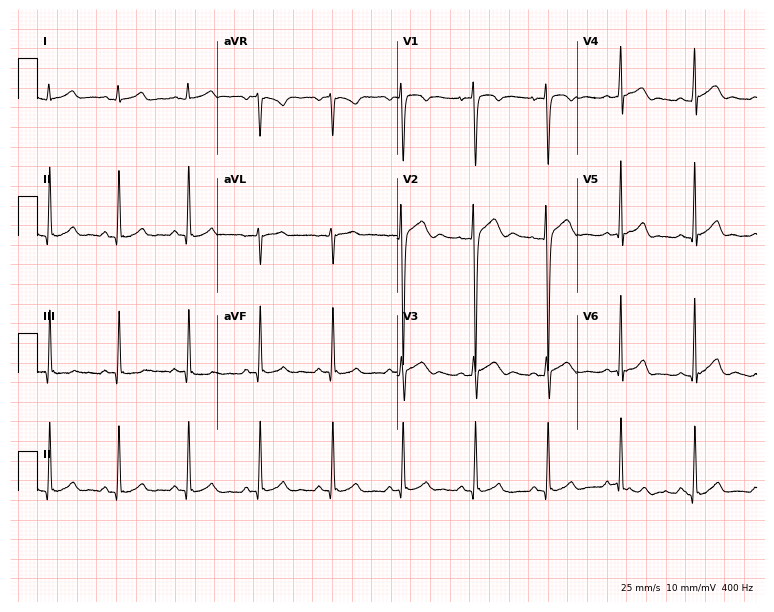
12-lead ECG from a 28-year-old male patient (7.3-second recording at 400 Hz). No first-degree AV block, right bundle branch block, left bundle branch block, sinus bradycardia, atrial fibrillation or sinus tachycardia recorded for this tracing. Findings outside these six are not listed.